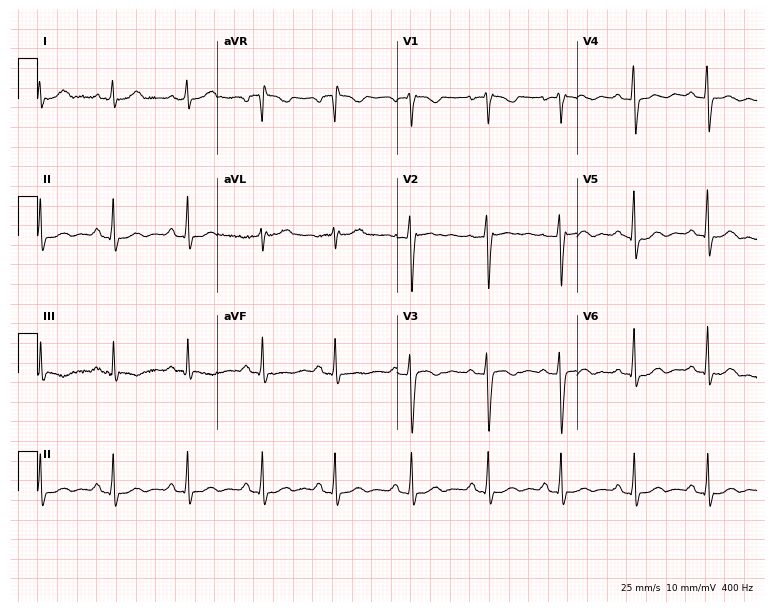
Resting 12-lead electrocardiogram (7.3-second recording at 400 Hz). Patient: a woman, 37 years old. None of these six findings is recorded: first-degree AV block, right bundle branch block (RBBB), left bundle branch block (LBBB), sinus bradycardia, atrial fibrillation (AF), sinus tachycardia. Findings outside these six are not listed.